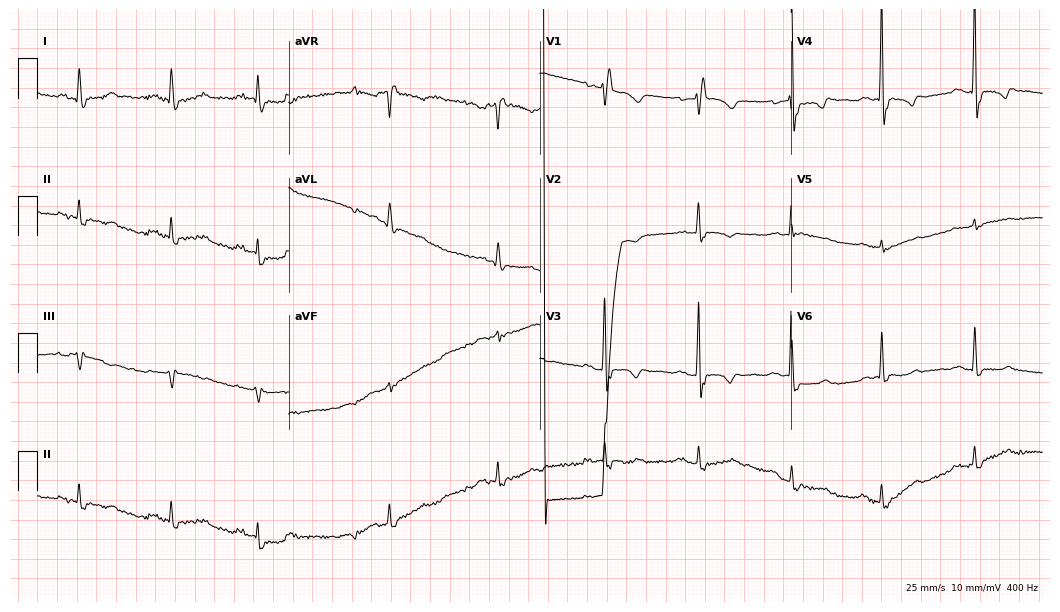
Standard 12-lead ECG recorded from a 75-year-old female. None of these six findings is recorded: first-degree AV block, right bundle branch block (RBBB), left bundle branch block (LBBB), sinus bradycardia, atrial fibrillation (AF), sinus tachycardia. Other findings, if any, are not listed.